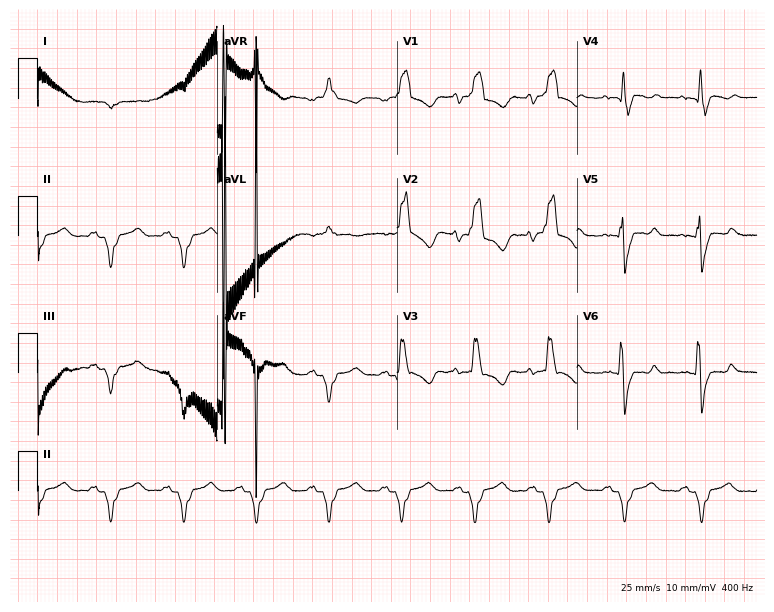
Resting 12-lead electrocardiogram. Patient: a 40-year-old male. None of these six findings is recorded: first-degree AV block, right bundle branch block, left bundle branch block, sinus bradycardia, atrial fibrillation, sinus tachycardia.